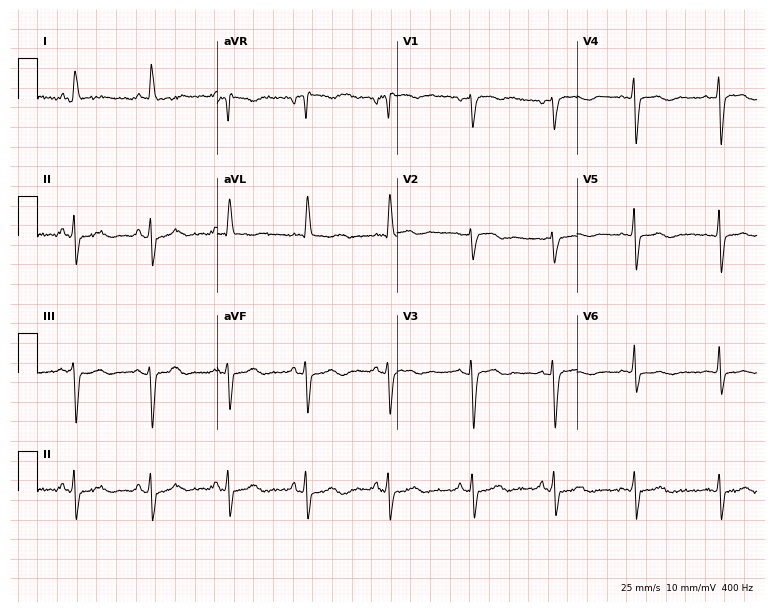
12-lead ECG (7.3-second recording at 400 Hz) from a female patient, 71 years old. Screened for six findings — first-degree AV block, right bundle branch block (RBBB), left bundle branch block (LBBB), sinus bradycardia, atrial fibrillation (AF), sinus tachycardia — none is recorded. Only these six findings were labelled.